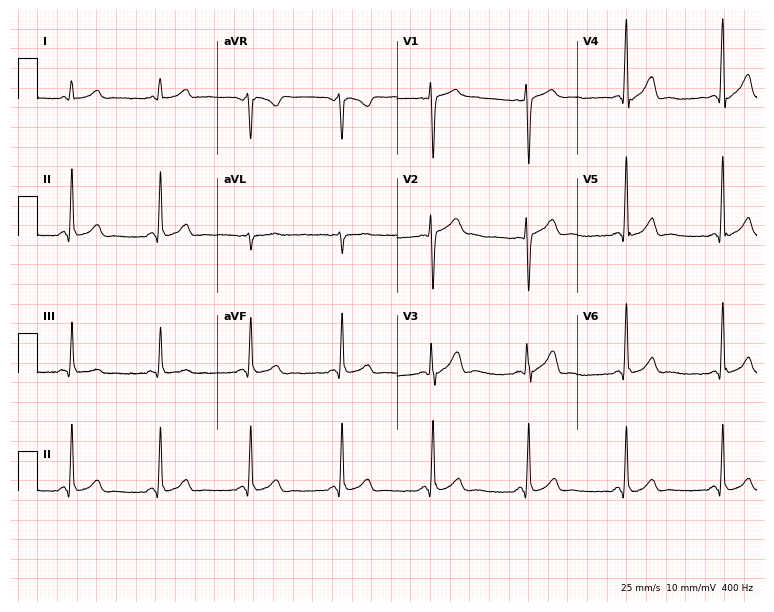
Electrocardiogram (7.3-second recording at 400 Hz), a 25-year-old male patient. Overall reading on record: normal ECG.